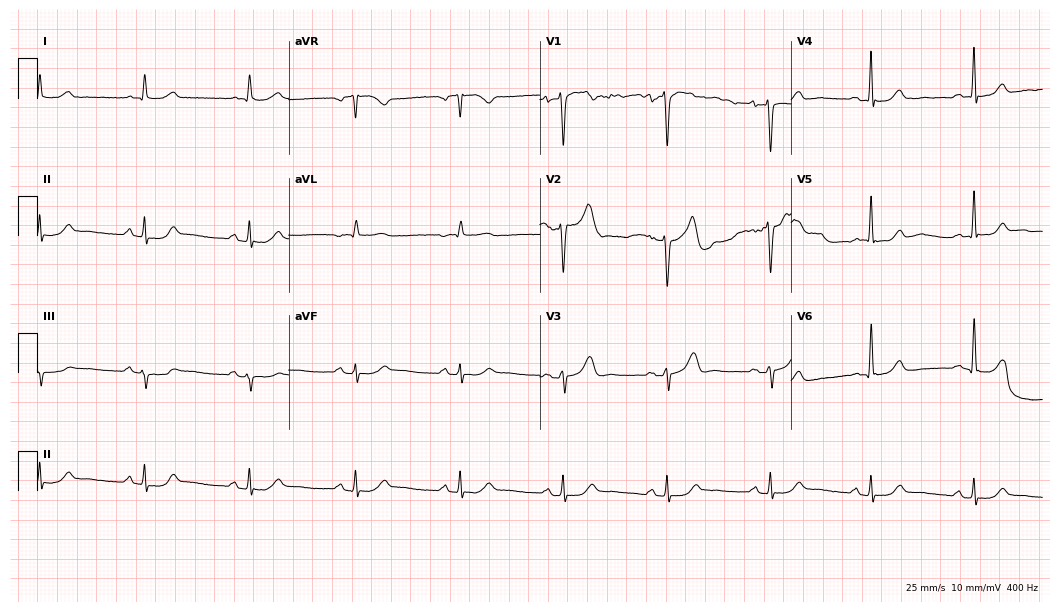
ECG — a 69-year-old male. Labelled as a normal ECG.